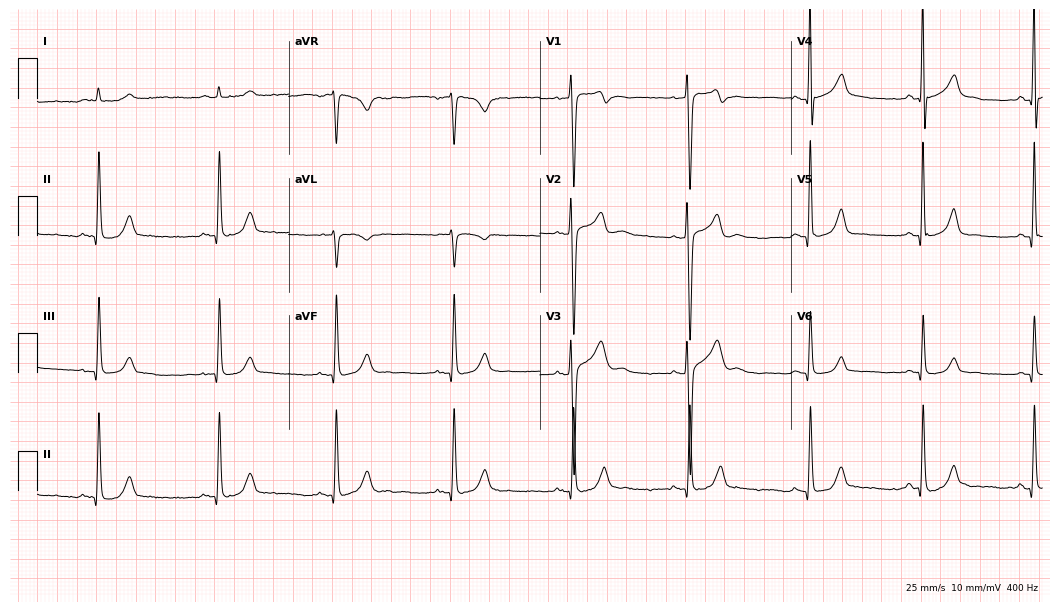
12-lead ECG from a 58-year-old male (10.2-second recording at 400 Hz). Recorded interpretation: within normal limits.